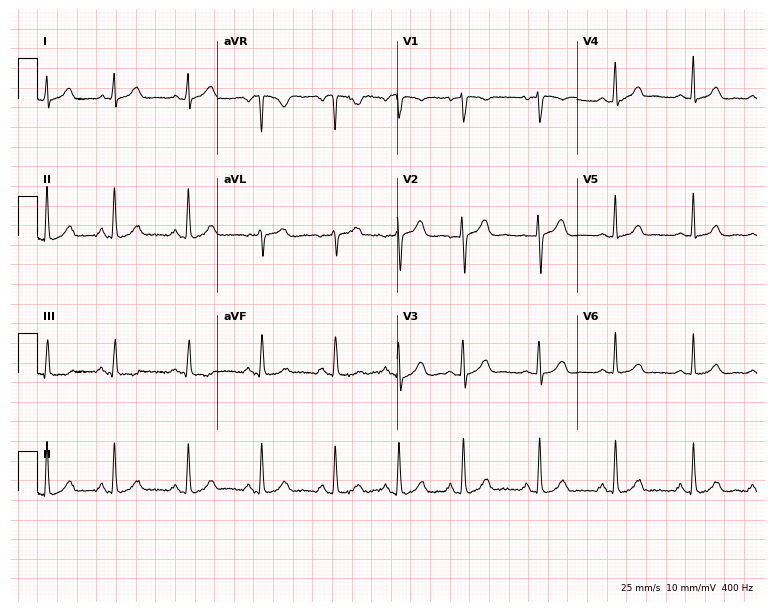
Resting 12-lead electrocardiogram. Patient: a 28-year-old female. Read as a normal ECG.